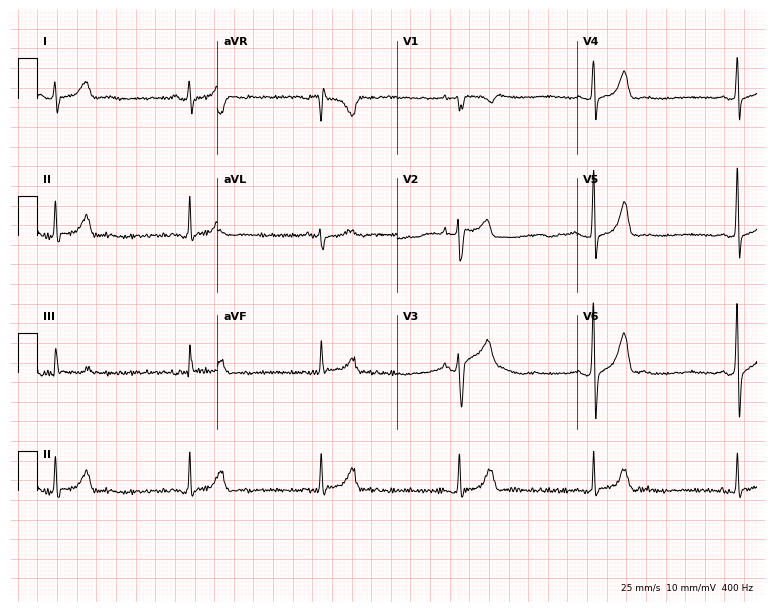
Standard 12-lead ECG recorded from a male, 17 years old. None of these six findings is recorded: first-degree AV block, right bundle branch block, left bundle branch block, sinus bradycardia, atrial fibrillation, sinus tachycardia. Findings outside these six are not listed.